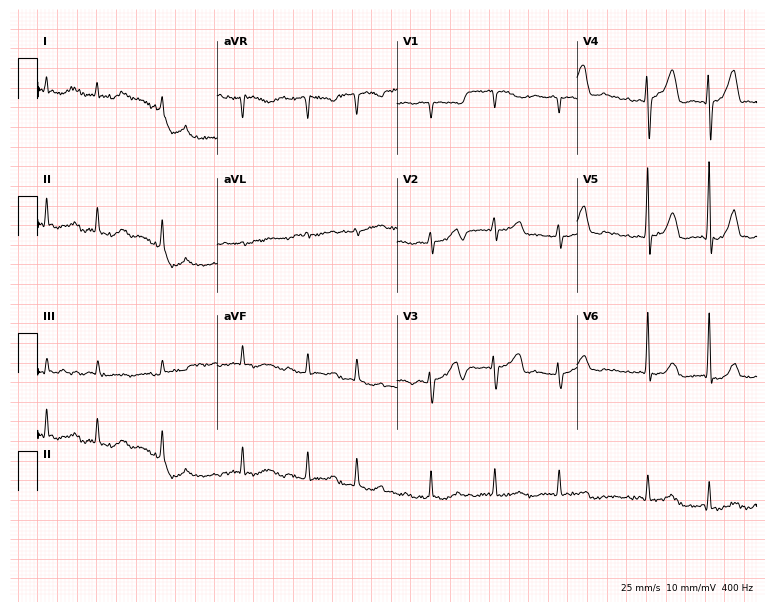
ECG (7.3-second recording at 400 Hz) — an 83-year-old female patient. Findings include atrial fibrillation (AF).